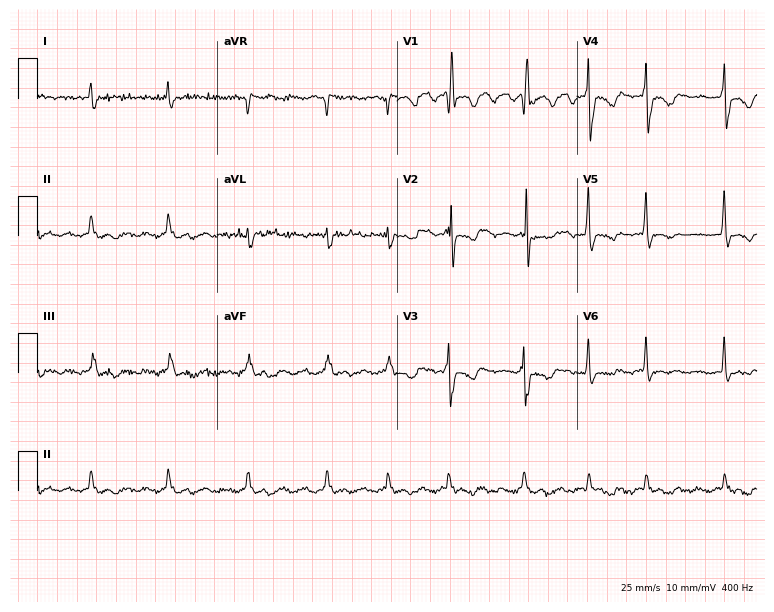
12-lead ECG from a 78-year-old female patient (7.3-second recording at 400 Hz). Shows atrial fibrillation.